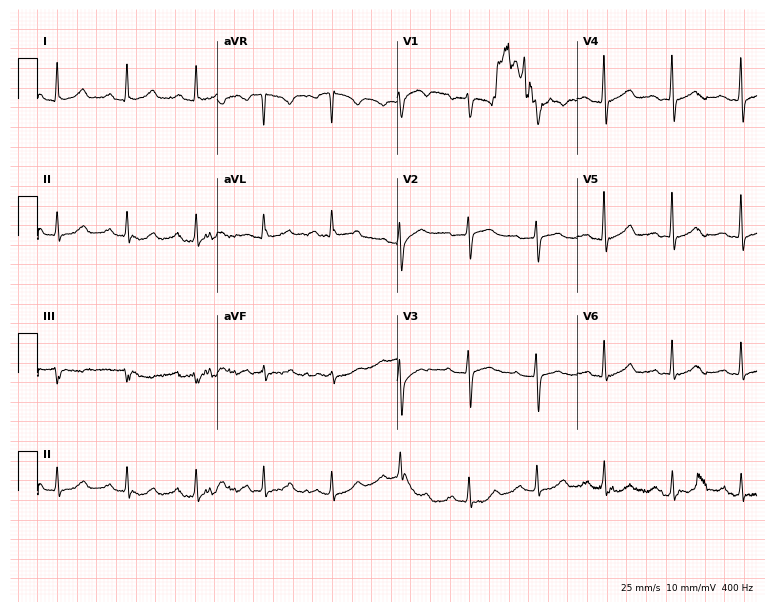
12-lead ECG from a 70-year-old woman. Recorded interpretation: within normal limits.